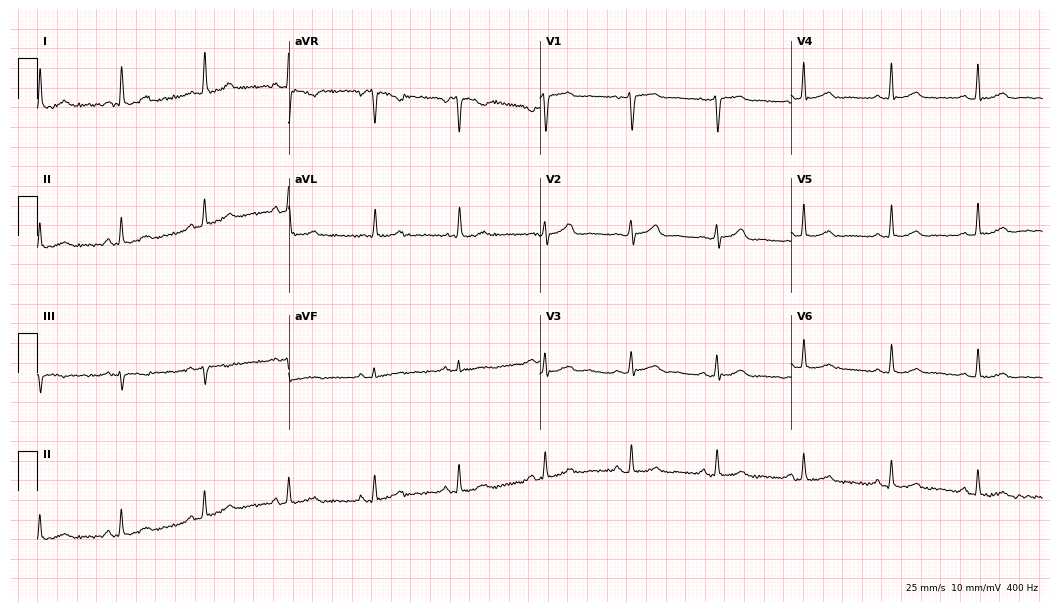
12-lead ECG (10.2-second recording at 400 Hz) from a female, 58 years old. Labelled as a normal ECG.